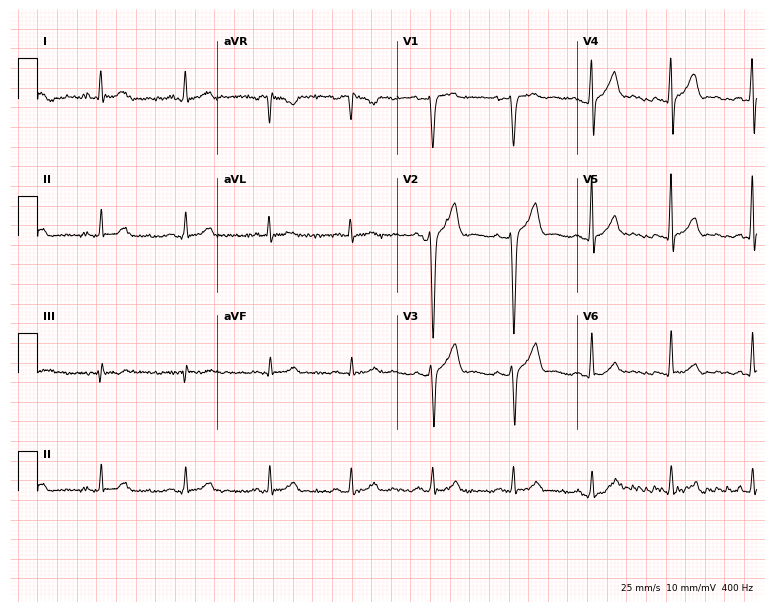
12-lead ECG (7.3-second recording at 400 Hz) from a male patient, 41 years old. Labelled as a normal ECG.